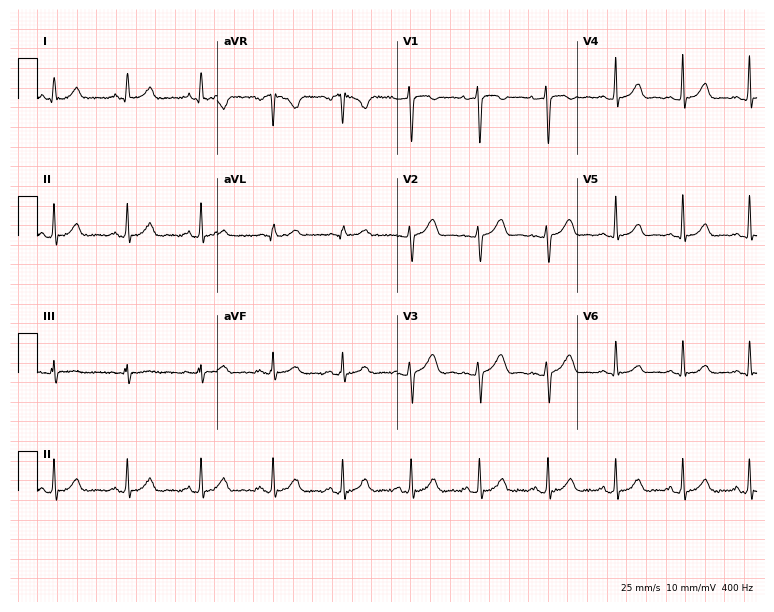
12-lead ECG from a woman, 25 years old. Recorded interpretation: within normal limits.